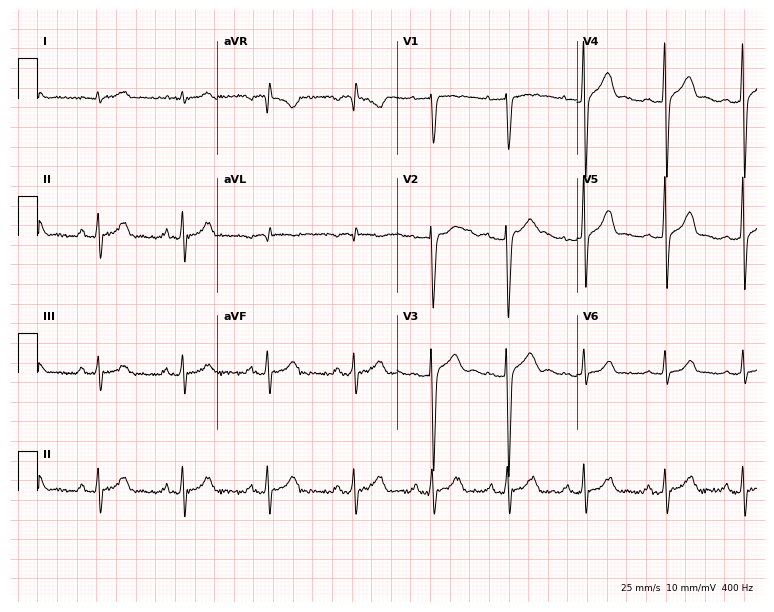
12-lead ECG from a 26-year-old male. Screened for six findings — first-degree AV block, right bundle branch block, left bundle branch block, sinus bradycardia, atrial fibrillation, sinus tachycardia — none is recorded.